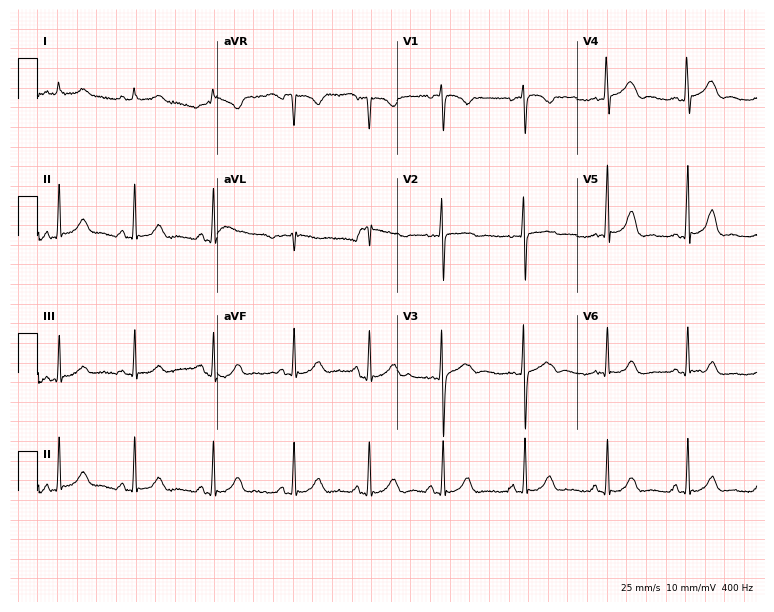
12-lead ECG from a male, 29 years old. Labelled as a normal ECG.